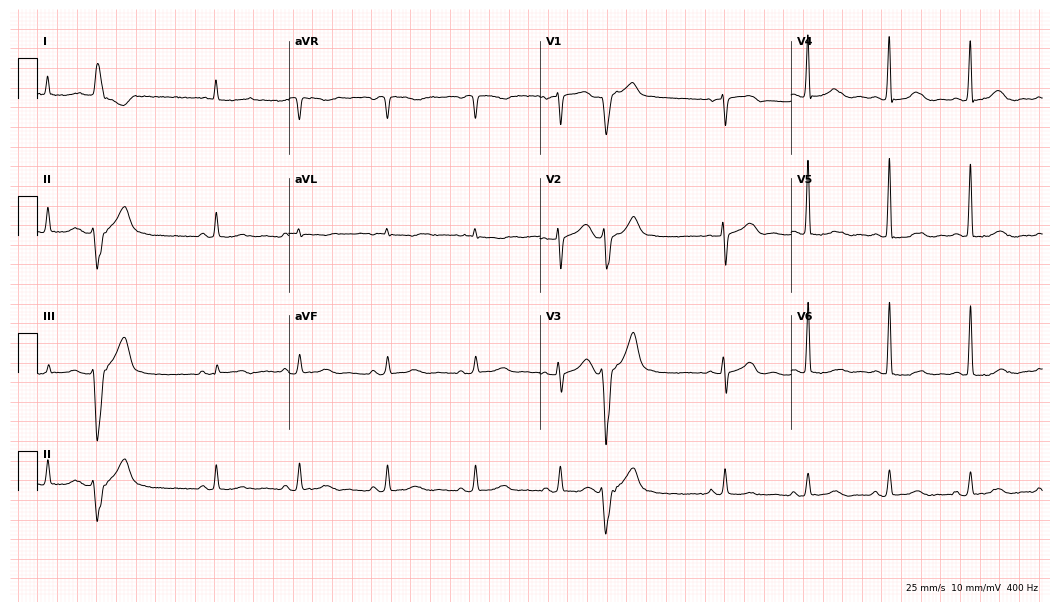
12-lead ECG (10.2-second recording at 400 Hz) from an 85-year-old female. Screened for six findings — first-degree AV block, right bundle branch block, left bundle branch block, sinus bradycardia, atrial fibrillation, sinus tachycardia — none is recorded. Only these six findings were labelled.